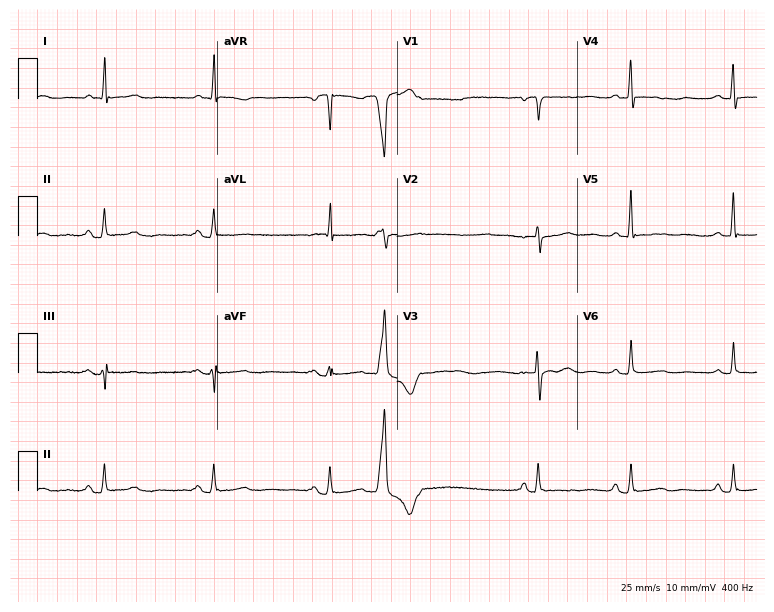
Standard 12-lead ECG recorded from a 61-year-old female patient (7.3-second recording at 400 Hz). None of these six findings is recorded: first-degree AV block, right bundle branch block, left bundle branch block, sinus bradycardia, atrial fibrillation, sinus tachycardia. Findings outside these six are not listed.